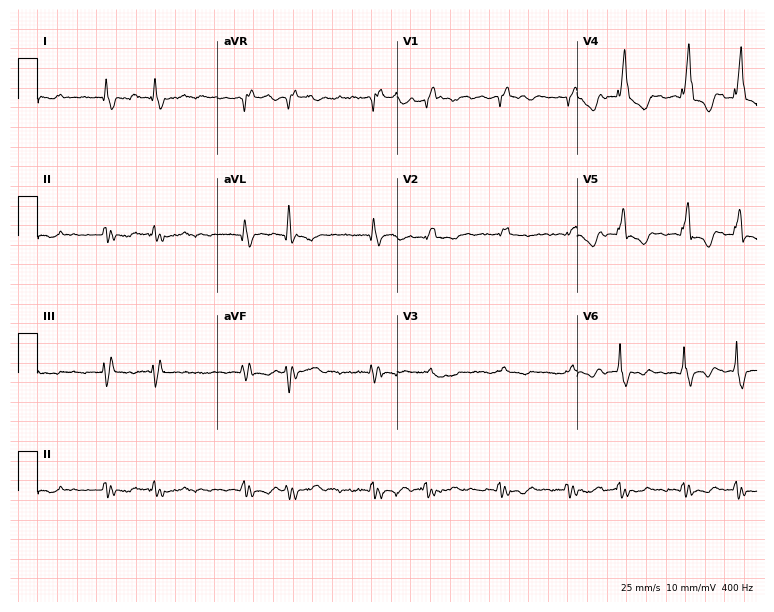
Electrocardiogram, a woman, 77 years old. Interpretation includes right bundle branch block, atrial fibrillation.